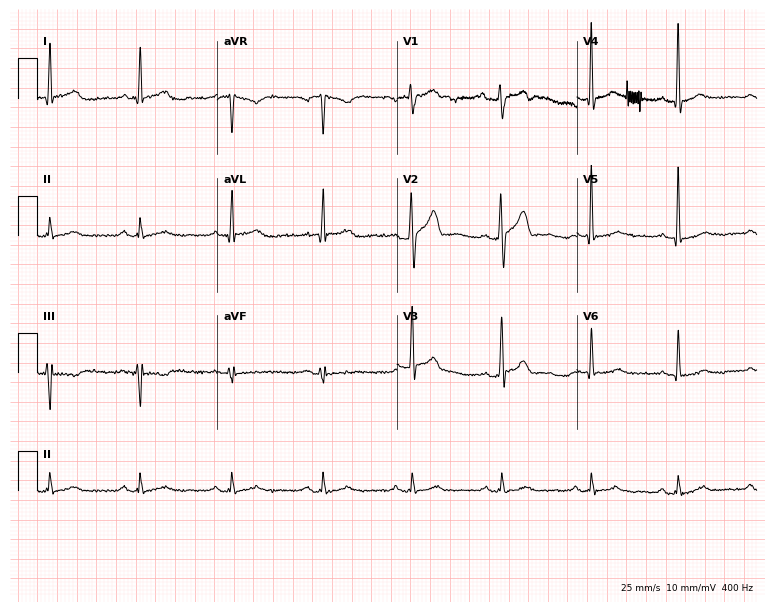
12-lead ECG from a male patient, 40 years old (7.3-second recording at 400 Hz). No first-degree AV block, right bundle branch block, left bundle branch block, sinus bradycardia, atrial fibrillation or sinus tachycardia recorded for this tracing.